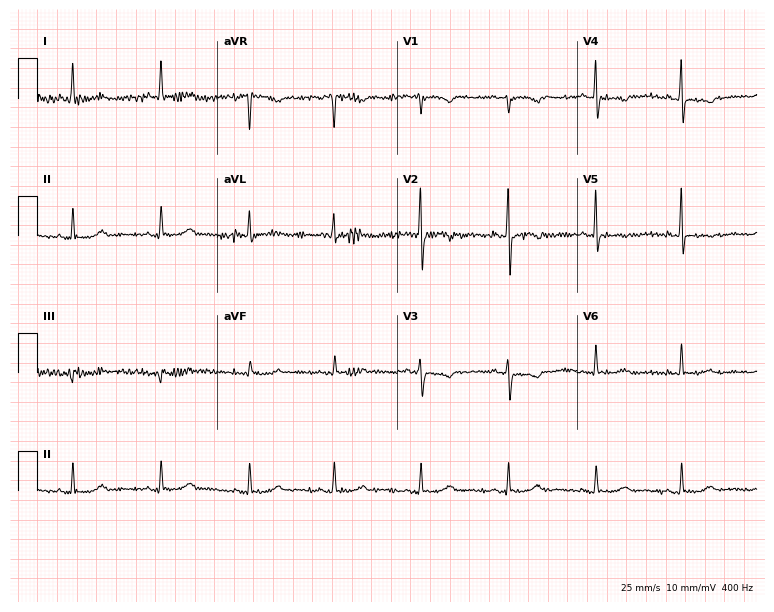
12-lead ECG from a female patient, 68 years old. No first-degree AV block, right bundle branch block, left bundle branch block, sinus bradycardia, atrial fibrillation or sinus tachycardia recorded for this tracing.